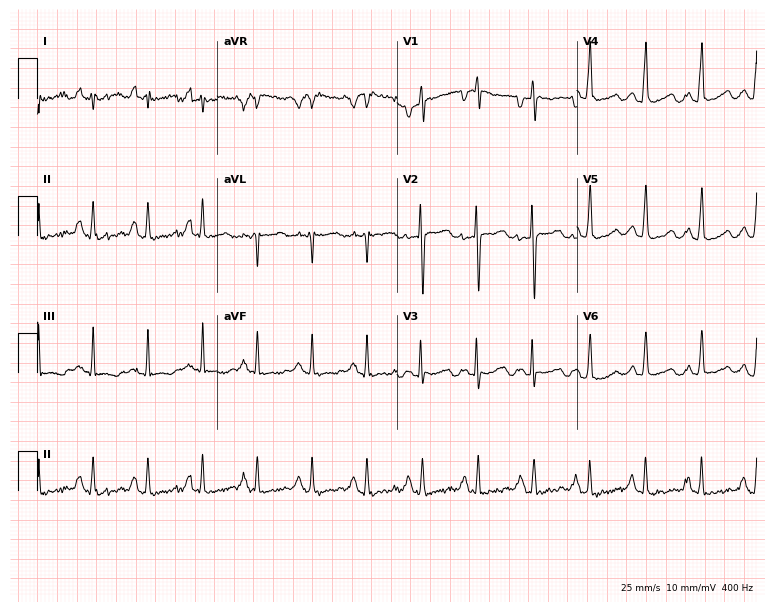
Resting 12-lead electrocardiogram (7.3-second recording at 400 Hz). Patient: a 30-year-old woman. None of these six findings is recorded: first-degree AV block, right bundle branch block (RBBB), left bundle branch block (LBBB), sinus bradycardia, atrial fibrillation (AF), sinus tachycardia. Only these six findings were labelled.